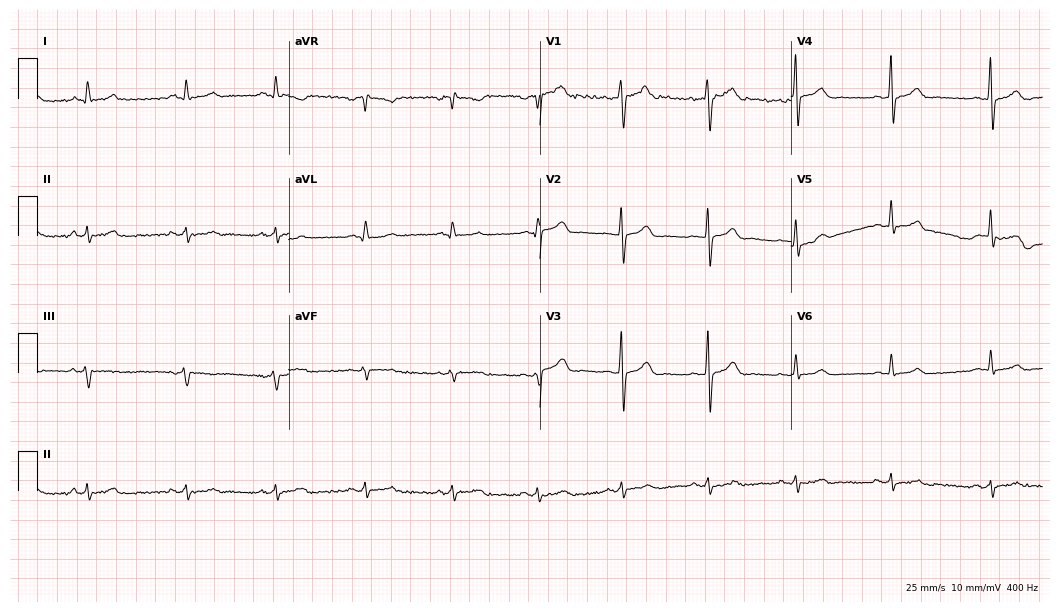
Resting 12-lead electrocardiogram (10.2-second recording at 400 Hz). Patient: a 40-year-old man. Read as a normal ECG.